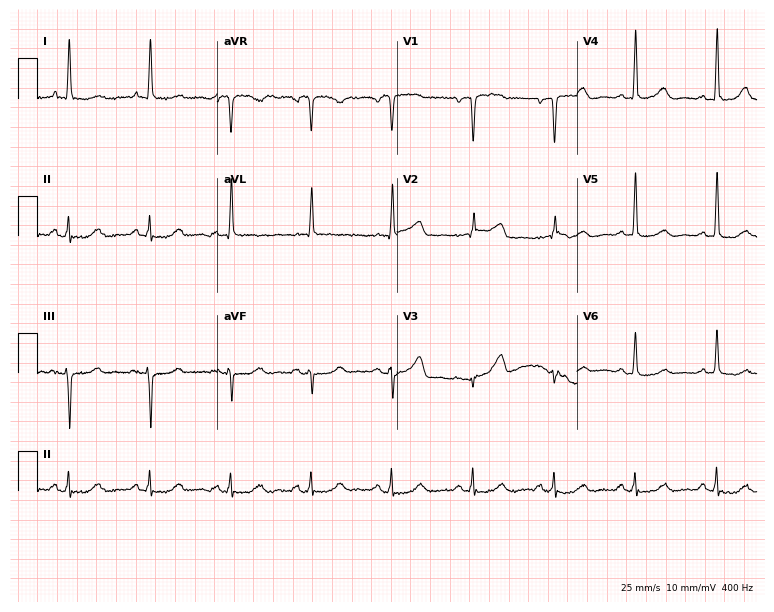
Standard 12-lead ECG recorded from an 81-year-old male patient. None of these six findings is recorded: first-degree AV block, right bundle branch block (RBBB), left bundle branch block (LBBB), sinus bradycardia, atrial fibrillation (AF), sinus tachycardia.